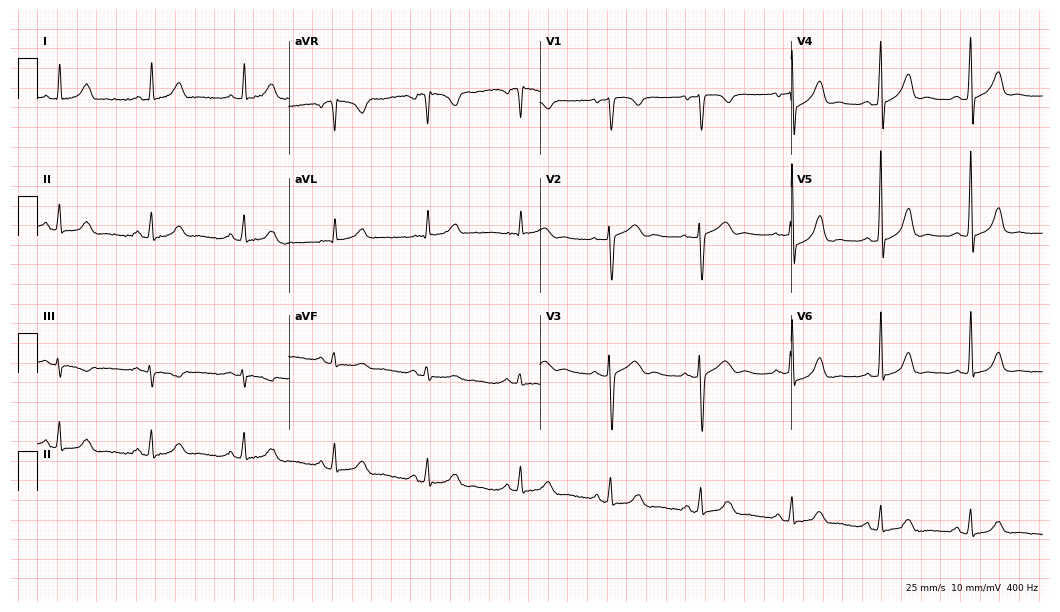
Standard 12-lead ECG recorded from a woman, 55 years old. Read as a normal ECG.